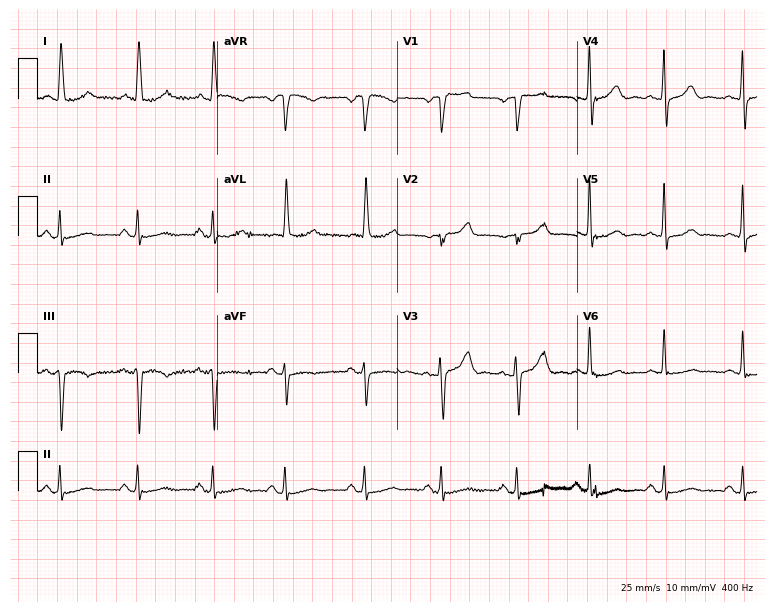
12-lead ECG from a 66-year-old female. Screened for six findings — first-degree AV block, right bundle branch block, left bundle branch block, sinus bradycardia, atrial fibrillation, sinus tachycardia — none is recorded.